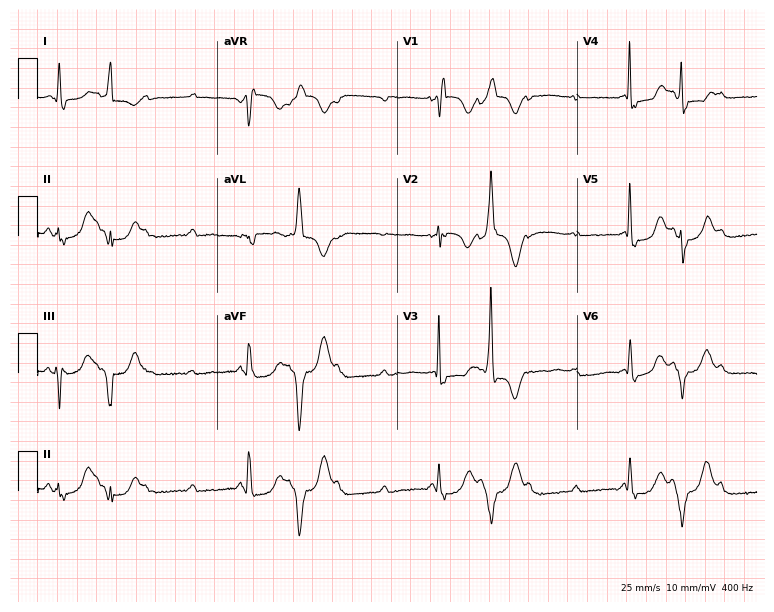
12-lead ECG from a 78-year-old female. Shows first-degree AV block.